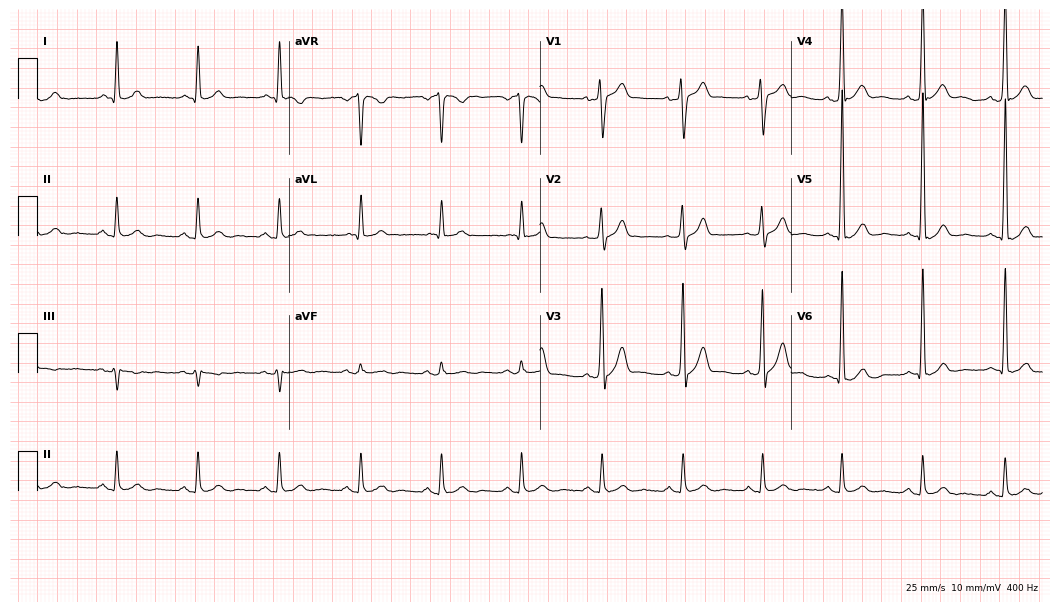
12-lead ECG (10.2-second recording at 400 Hz) from a 46-year-old male patient. Screened for six findings — first-degree AV block, right bundle branch block, left bundle branch block, sinus bradycardia, atrial fibrillation, sinus tachycardia — none is recorded.